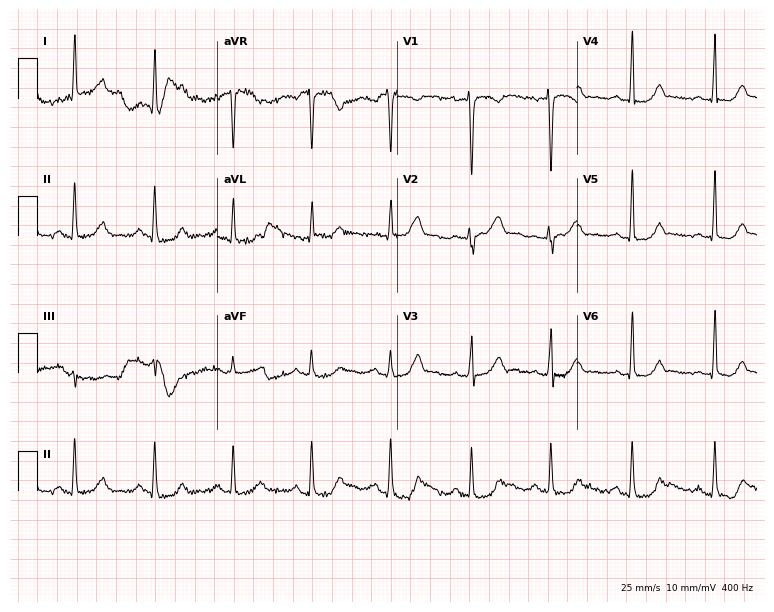
ECG (7.3-second recording at 400 Hz) — a woman, 40 years old. Screened for six findings — first-degree AV block, right bundle branch block, left bundle branch block, sinus bradycardia, atrial fibrillation, sinus tachycardia — none is recorded.